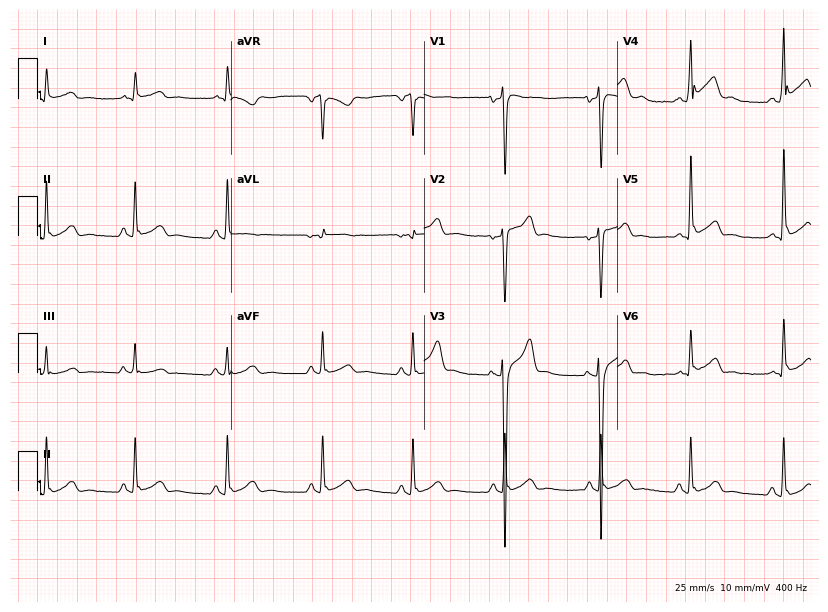
Electrocardiogram (7.9-second recording at 400 Hz), a 17-year-old man. Overall reading on record: normal ECG.